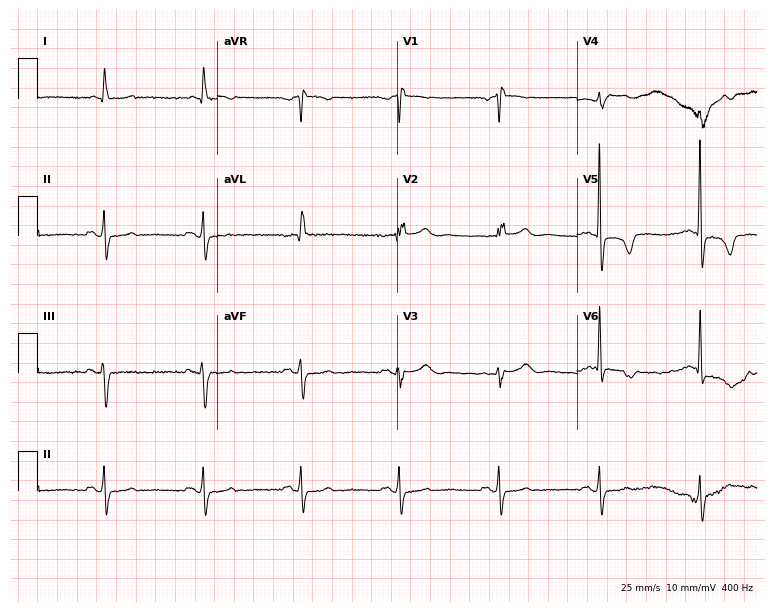
Electrocardiogram (7.3-second recording at 400 Hz), a woman, 81 years old. Of the six screened findings (first-degree AV block, right bundle branch block (RBBB), left bundle branch block (LBBB), sinus bradycardia, atrial fibrillation (AF), sinus tachycardia), none is recorded. Only these six findings were labelled.